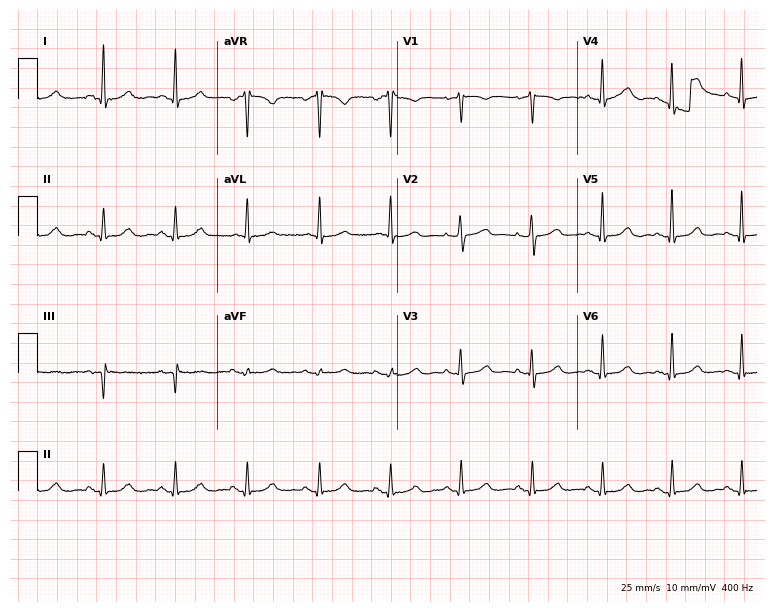
Electrocardiogram (7.3-second recording at 400 Hz), a 74-year-old woman. Overall reading on record: normal ECG.